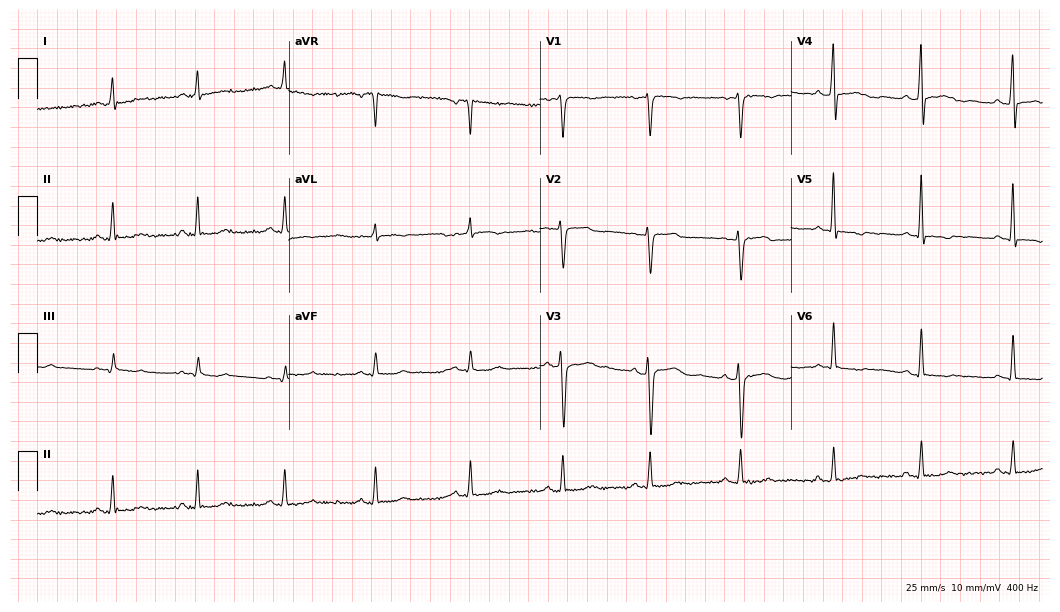
Electrocardiogram, a 58-year-old woman. Of the six screened findings (first-degree AV block, right bundle branch block, left bundle branch block, sinus bradycardia, atrial fibrillation, sinus tachycardia), none is recorded. Only these six findings were labelled.